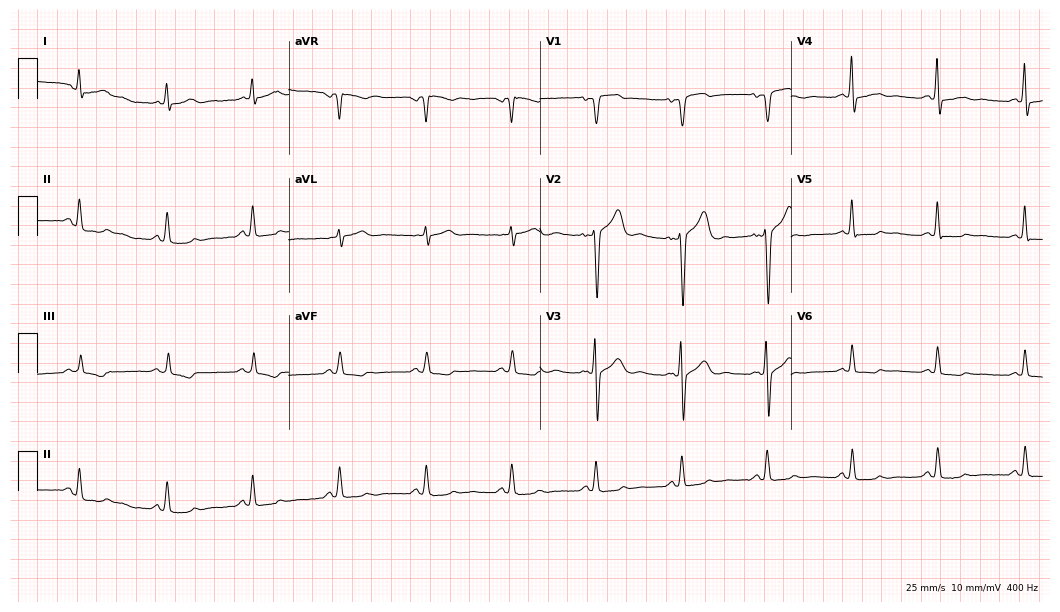
ECG (10.2-second recording at 400 Hz) — a male, 69 years old. Screened for six findings — first-degree AV block, right bundle branch block (RBBB), left bundle branch block (LBBB), sinus bradycardia, atrial fibrillation (AF), sinus tachycardia — none is recorded.